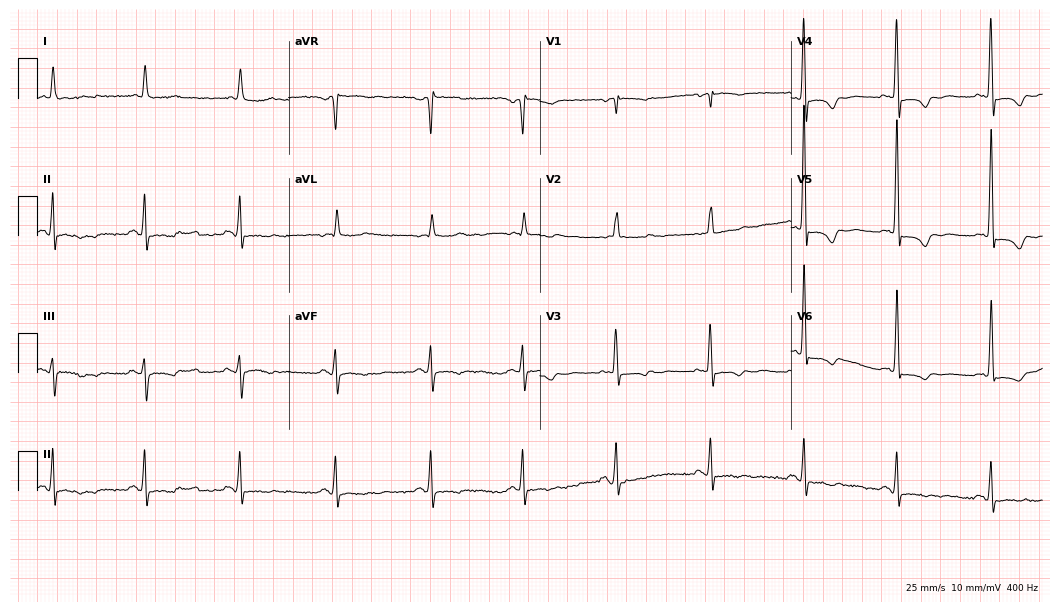
ECG (10.2-second recording at 400 Hz) — a female, 73 years old. Screened for six findings — first-degree AV block, right bundle branch block, left bundle branch block, sinus bradycardia, atrial fibrillation, sinus tachycardia — none is recorded. Only these six findings were labelled.